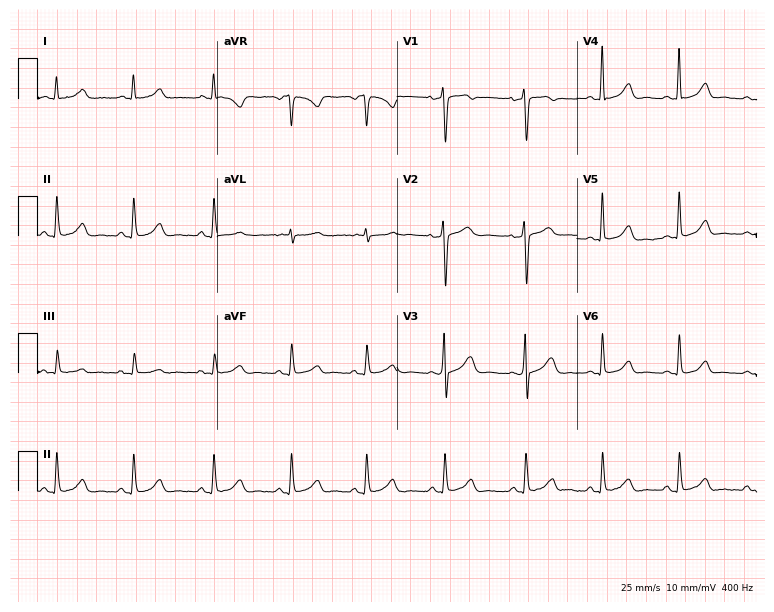
Electrocardiogram, a woman, 44 years old. Of the six screened findings (first-degree AV block, right bundle branch block (RBBB), left bundle branch block (LBBB), sinus bradycardia, atrial fibrillation (AF), sinus tachycardia), none is recorded. Only these six findings were labelled.